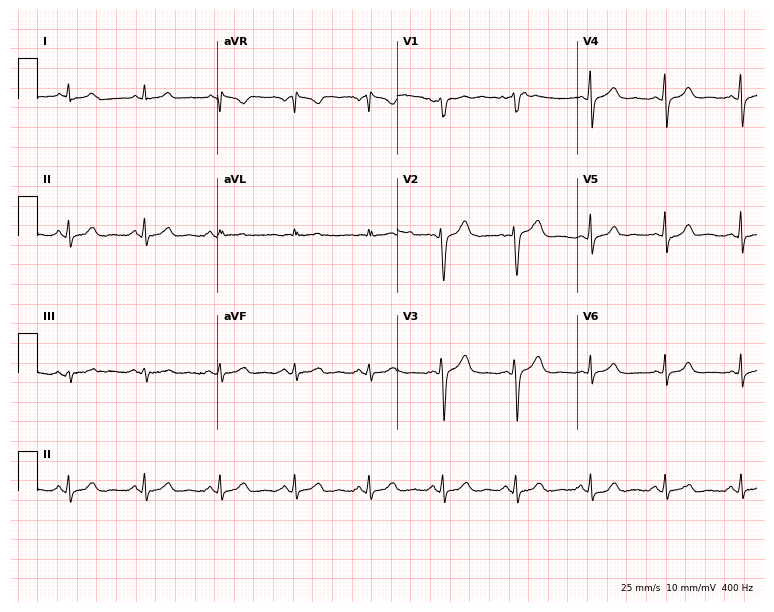
12-lead ECG from a woman, 40 years old. Labelled as a normal ECG.